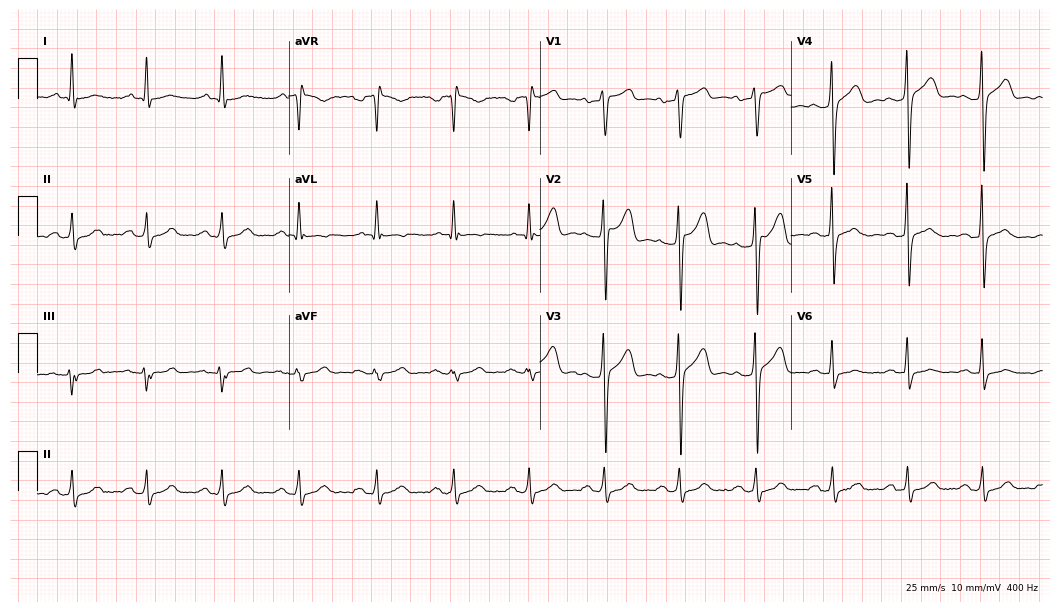
ECG (10.2-second recording at 400 Hz) — a male, 41 years old. Screened for six findings — first-degree AV block, right bundle branch block, left bundle branch block, sinus bradycardia, atrial fibrillation, sinus tachycardia — none is recorded.